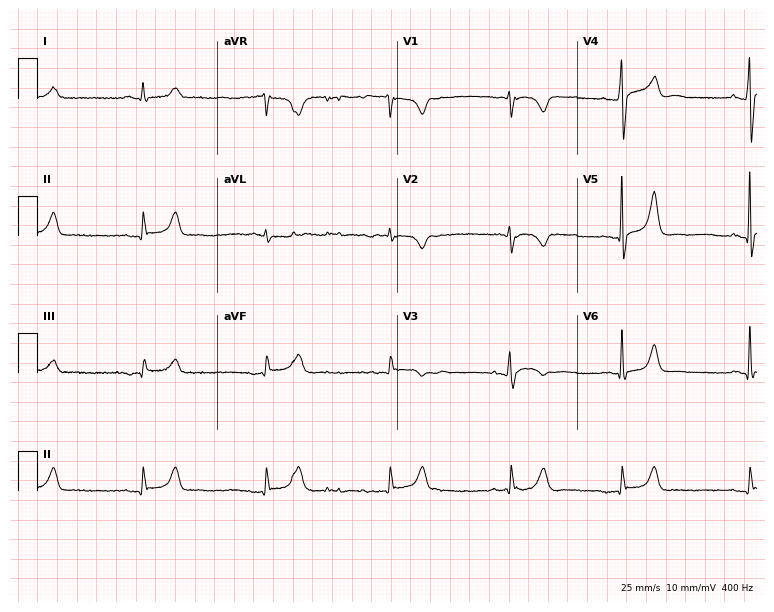
12-lead ECG (7.3-second recording at 400 Hz) from a male patient, 75 years old. Findings include sinus bradycardia (a sinus rate of 50 beats per minute or less).